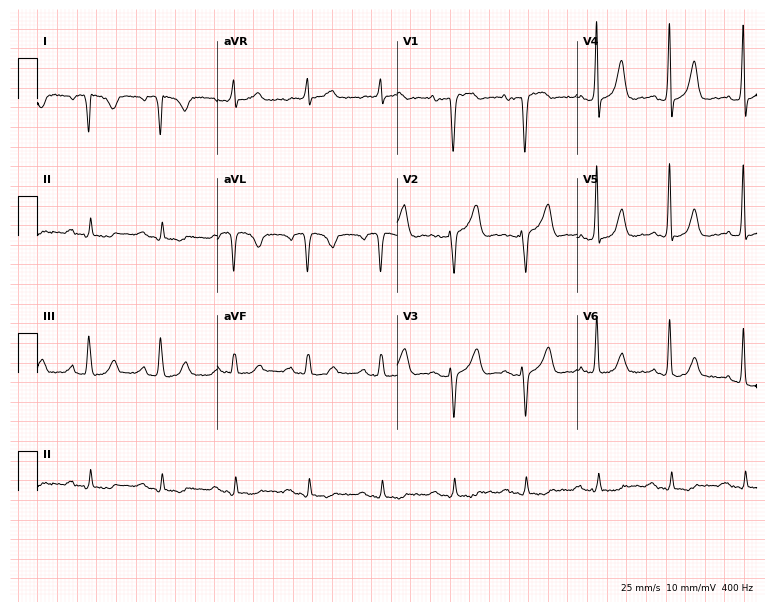
Electrocardiogram, a female patient, 76 years old. Of the six screened findings (first-degree AV block, right bundle branch block, left bundle branch block, sinus bradycardia, atrial fibrillation, sinus tachycardia), none is recorded.